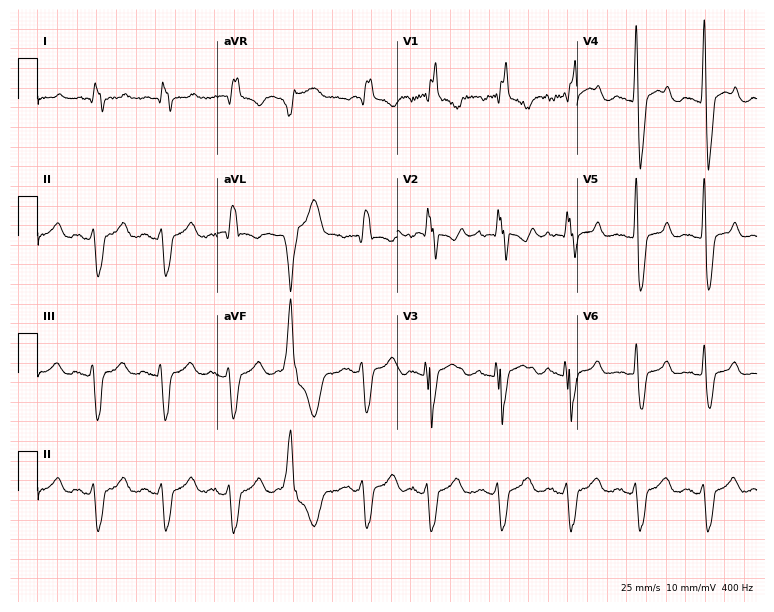
Resting 12-lead electrocardiogram (7.3-second recording at 400 Hz). Patient: a woman, 71 years old. The tracing shows right bundle branch block (RBBB).